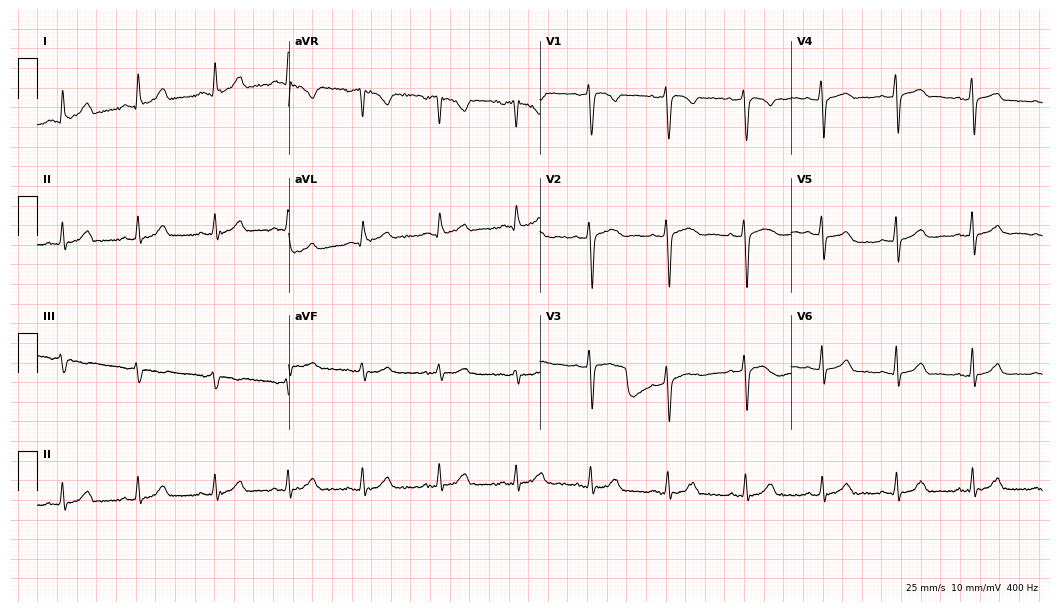
Resting 12-lead electrocardiogram. Patient: a female, 37 years old. Read as a normal ECG.